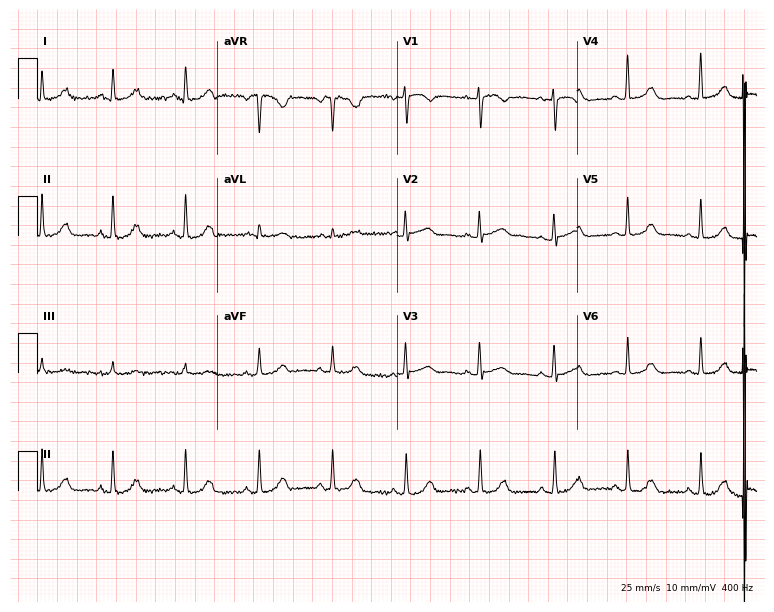
Standard 12-lead ECG recorded from a woman, 50 years old. Read as a normal ECG.